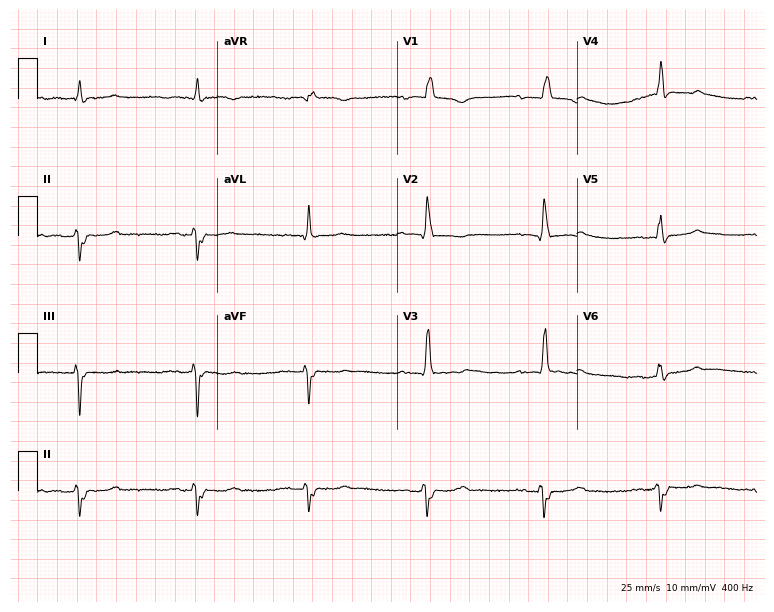
ECG — a 64-year-old female patient. Findings include right bundle branch block.